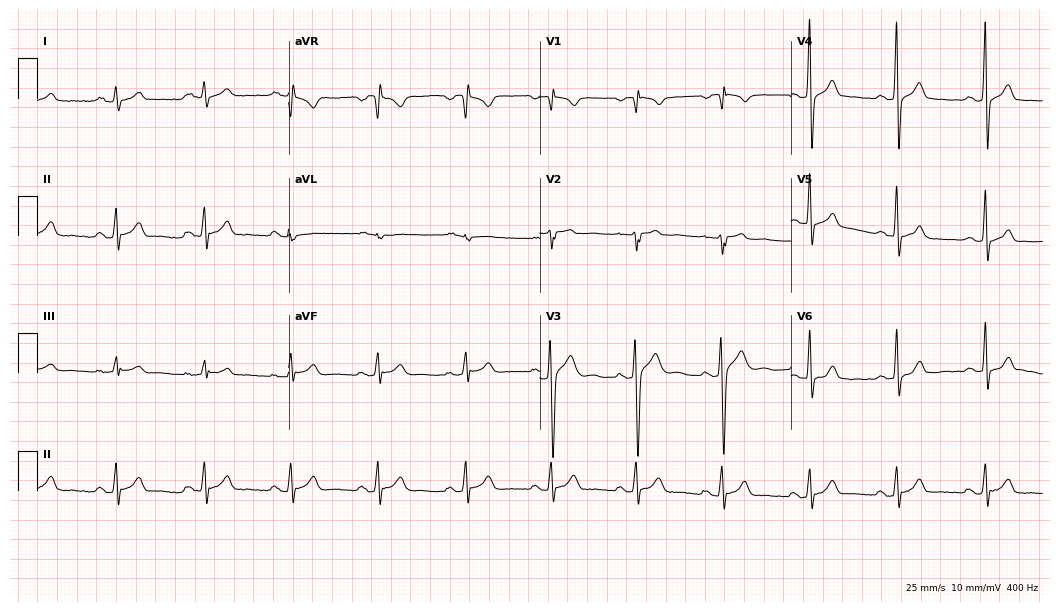
12-lead ECG from a male, 22 years old. No first-degree AV block, right bundle branch block, left bundle branch block, sinus bradycardia, atrial fibrillation or sinus tachycardia recorded for this tracing.